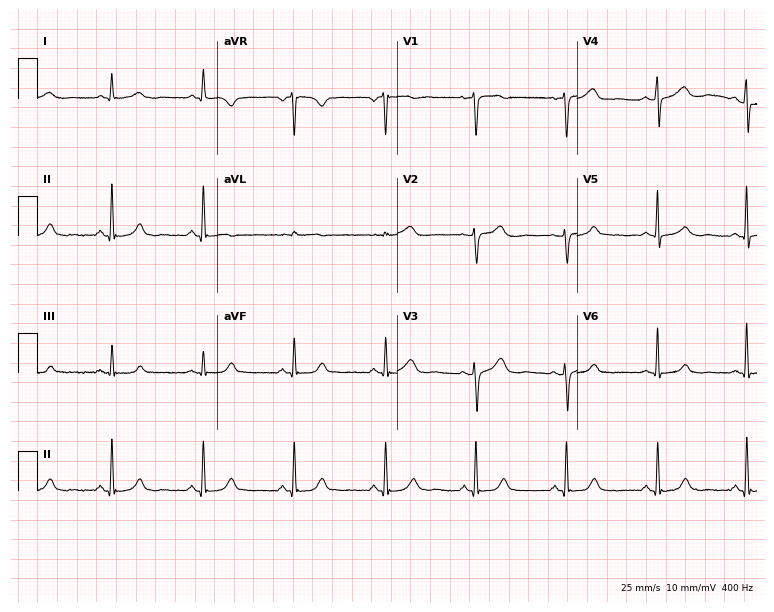
ECG (7.3-second recording at 400 Hz) — a 60-year-old female. Labelled as a normal ECG.